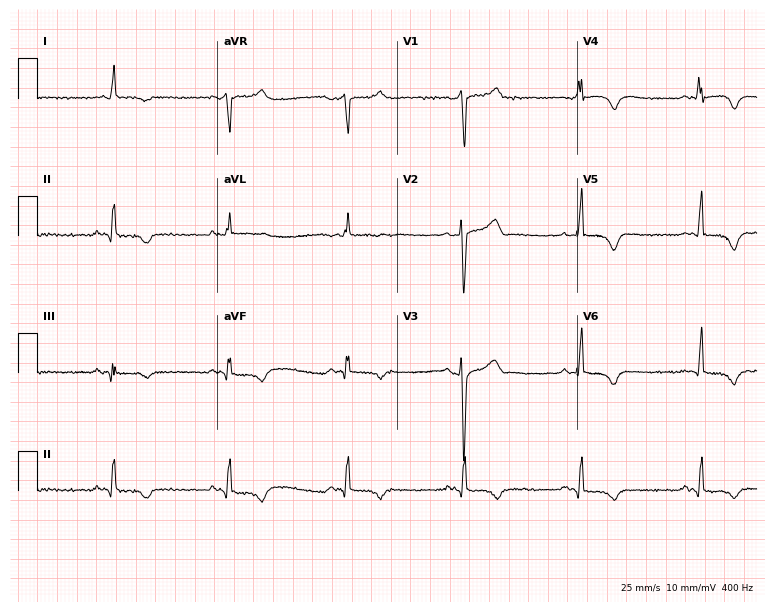
Standard 12-lead ECG recorded from a man, 77 years old (7.3-second recording at 400 Hz). The tracing shows sinus bradycardia (a sinus rate of 50 beats per minute or less).